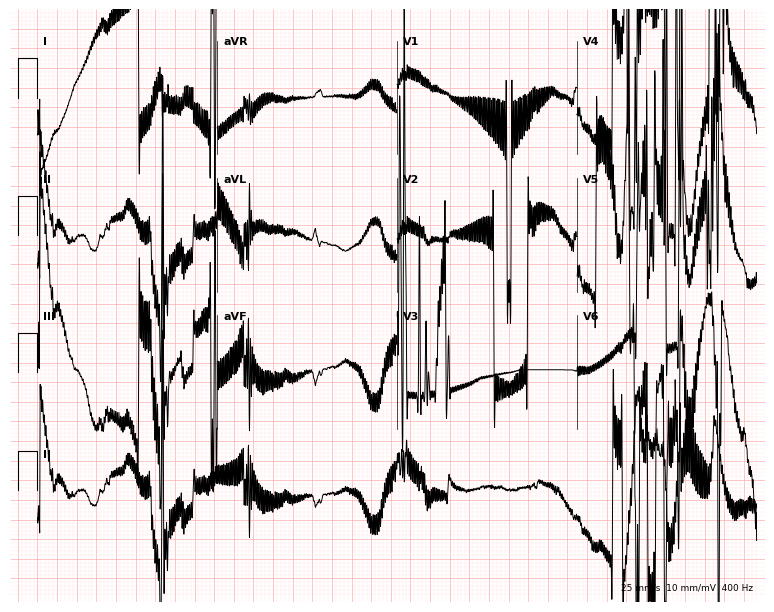
12-lead ECG from a 76-year-old man. No first-degree AV block, right bundle branch block (RBBB), left bundle branch block (LBBB), sinus bradycardia, atrial fibrillation (AF) or sinus tachycardia recorded for this tracing.